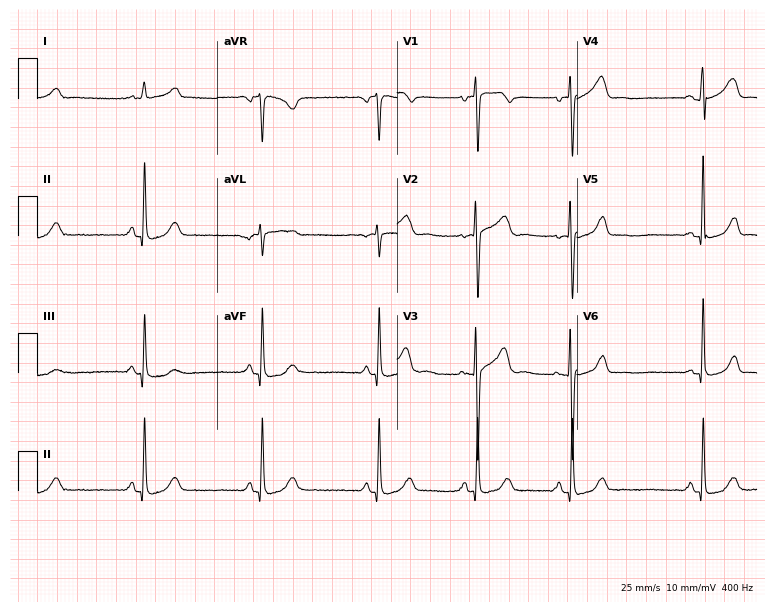
12-lead ECG (7.3-second recording at 400 Hz) from a female, 39 years old. Labelled as a normal ECG.